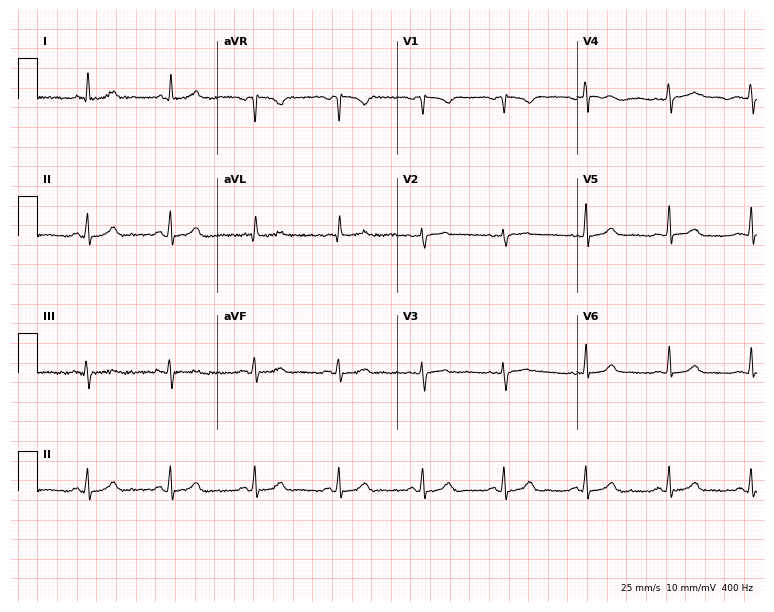
ECG (7.3-second recording at 400 Hz) — a female patient, 43 years old. Labelled as a normal ECG.